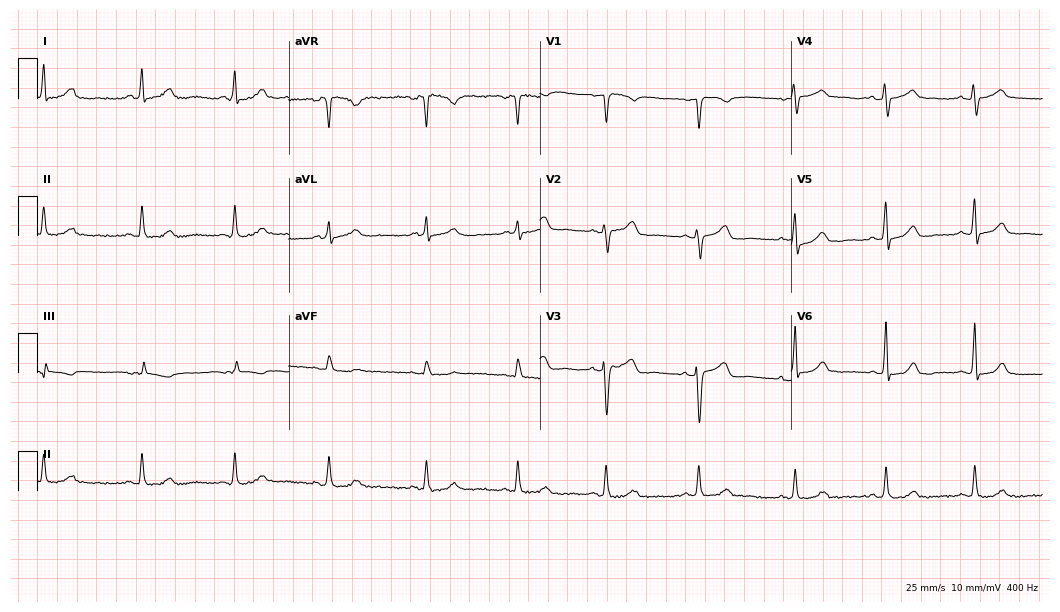
Electrocardiogram (10.2-second recording at 400 Hz), a woman, 48 years old. Overall reading on record: normal ECG.